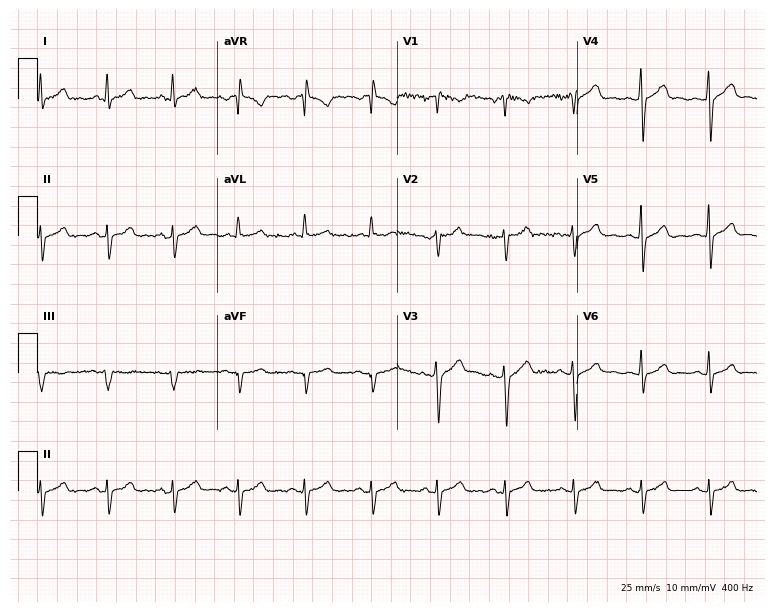
12-lead ECG (7.3-second recording at 400 Hz) from a 45-year-old male. Screened for six findings — first-degree AV block, right bundle branch block, left bundle branch block, sinus bradycardia, atrial fibrillation, sinus tachycardia — none is recorded.